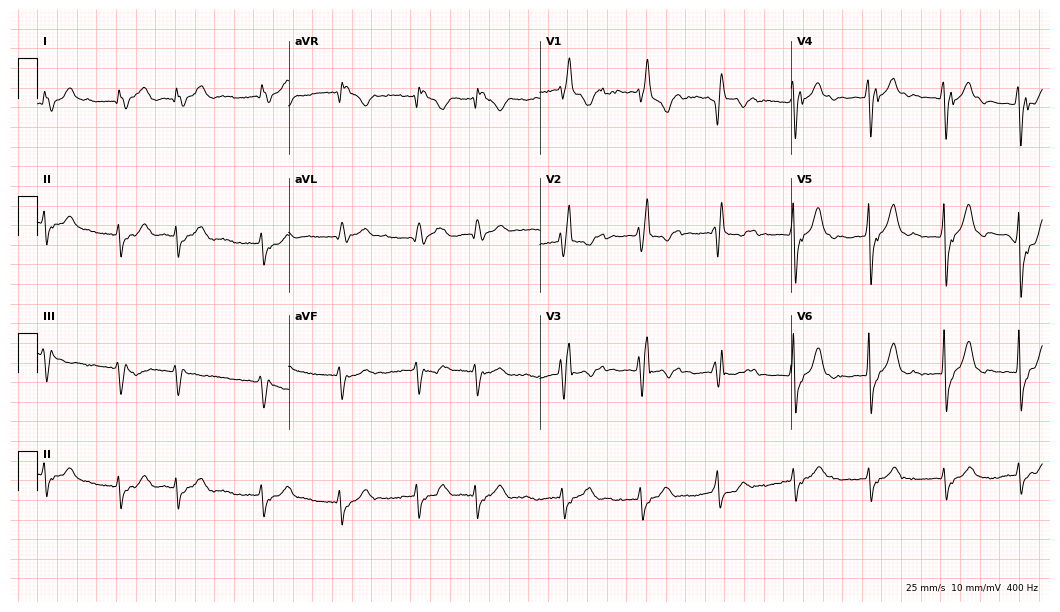
ECG (10.2-second recording at 400 Hz) — an 81-year-old male. Screened for six findings — first-degree AV block, right bundle branch block, left bundle branch block, sinus bradycardia, atrial fibrillation, sinus tachycardia — none is recorded.